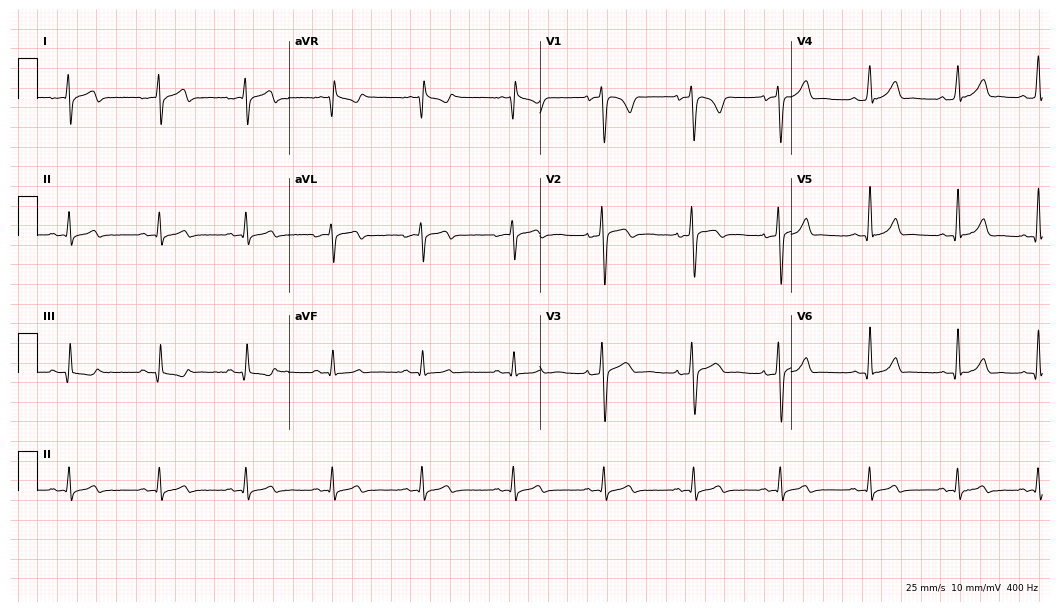
Electrocardiogram, a 25-year-old woman. Overall reading on record: normal ECG.